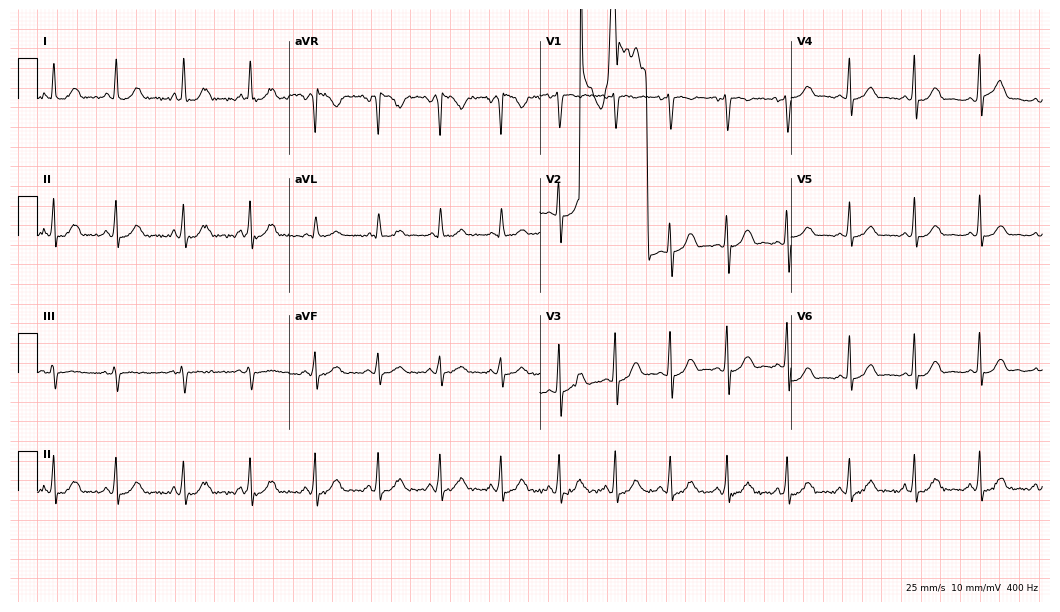
ECG (10.2-second recording at 400 Hz) — a 33-year-old woman. Labelled as a normal ECG.